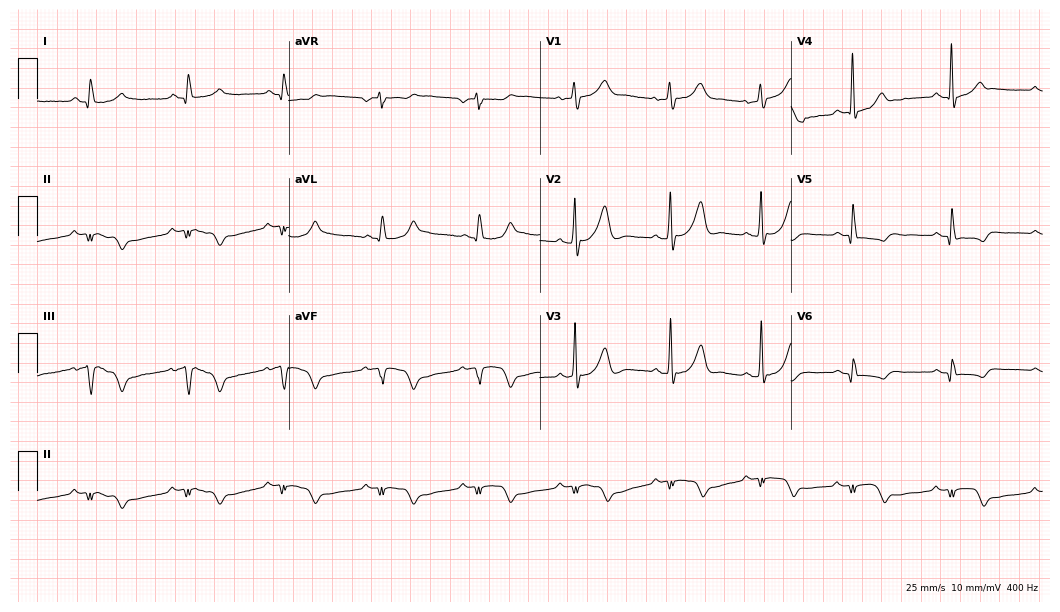
12-lead ECG from an 83-year-old male patient. No first-degree AV block, right bundle branch block, left bundle branch block, sinus bradycardia, atrial fibrillation or sinus tachycardia recorded for this tracing. Other findings, if any, are not listed.